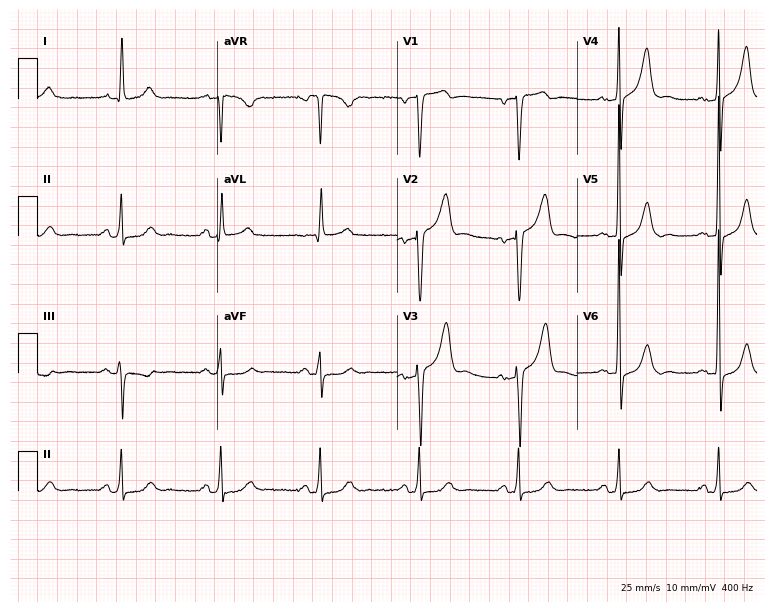
Resting 12-lead electrocardiogram. Patient: a man, 82 years old. None of these six findings is recorded: first-degree AV block, right bundle branch block (RBBB), left bundle branch block (LBBB), sinus bradycardia, atrial fibrillation (AF), sinus tachycardia. Only these six findings were labelled.